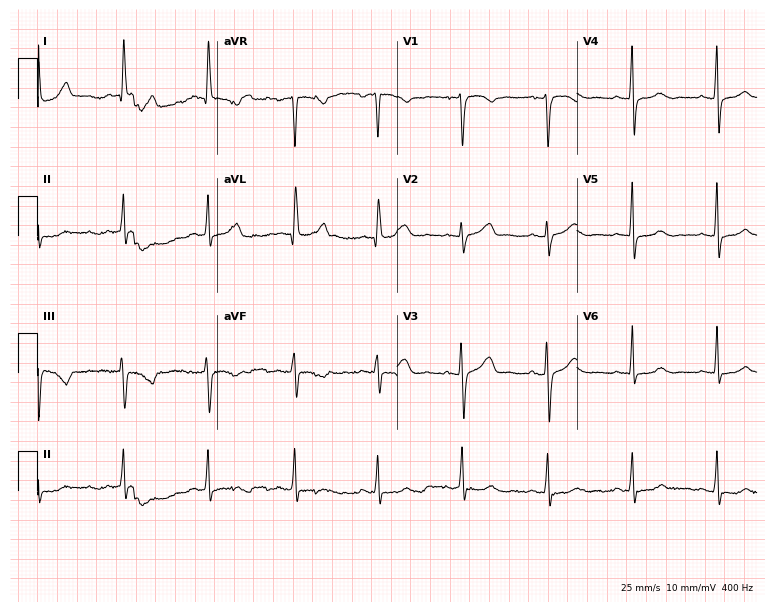
ECG (7.3-second recording at 400 Hz) — a 57-year-old female. Screened for six findings — first-degree AV block, right bundle branch block (RBBB), left bundle branch block (LBBB), sinus bradycardia, atrial fibrillation (AF), sinus tachycardia — none is recorded. Other findings, if any, are not listed.